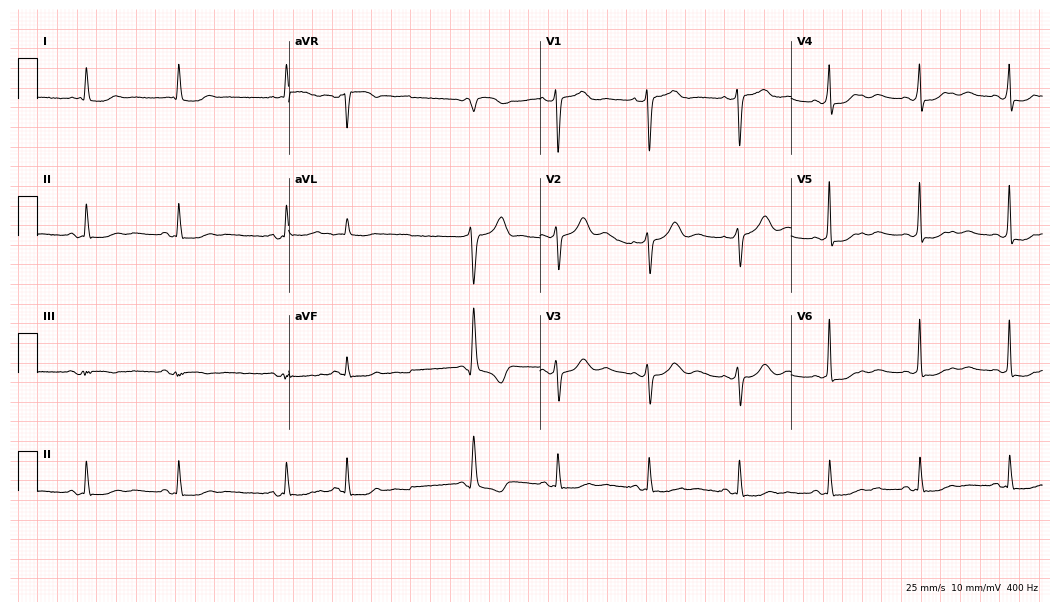
Standard 12-lead ECG recorded from a woman, 68 years old. None of these six findings is recorded: first-degree AV block, right bundle branch block (RBBB), left bundle branch block (LBBB), sinus bradycardia, atrial fibrillation (AF), sinus tachycardia. Only these six findings were labelled.